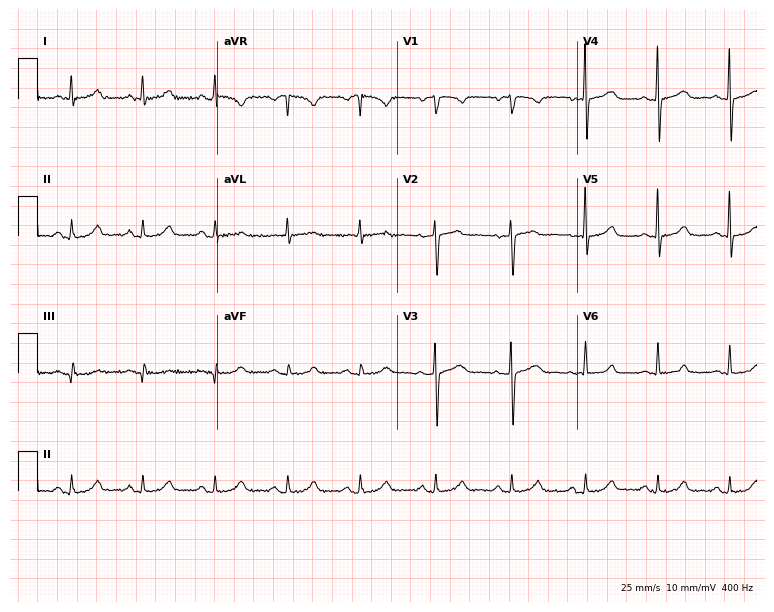
12-lead ECG from a female, 47 years old (7.3-second recording at 400 Hz). Recorded interpretation: within normal limits.